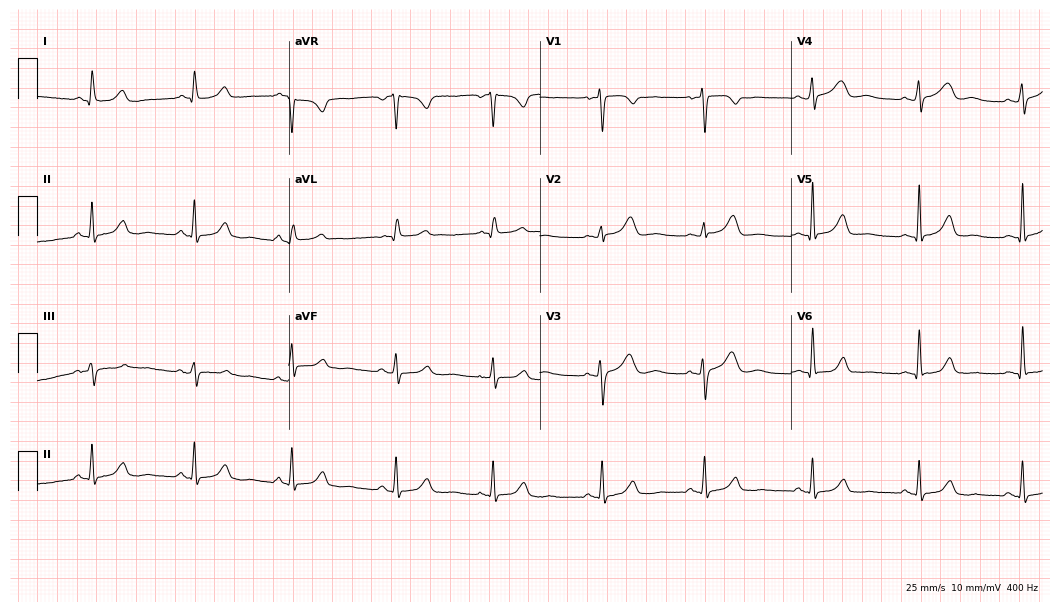
Electrocardiogram, a female, 55 years old. Overall reading on record: normal ECG.